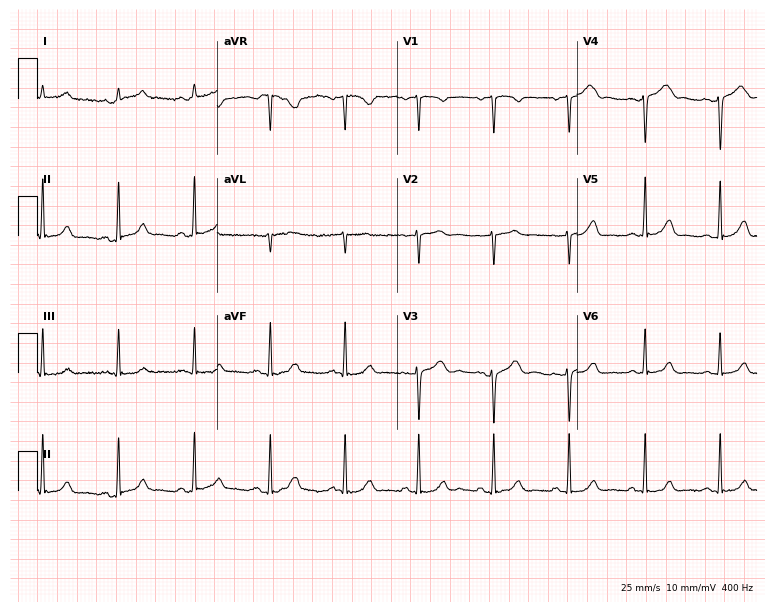
Standard 12-lead ECG recorded from a woman, 41 years old. None of these six findings is recorded: first-degree AV block, right bundle branch block (RBBB), left bundle branch block (LBBB), sinus bradycardia, atrial fibrillation (AF), sinus tachycardia.